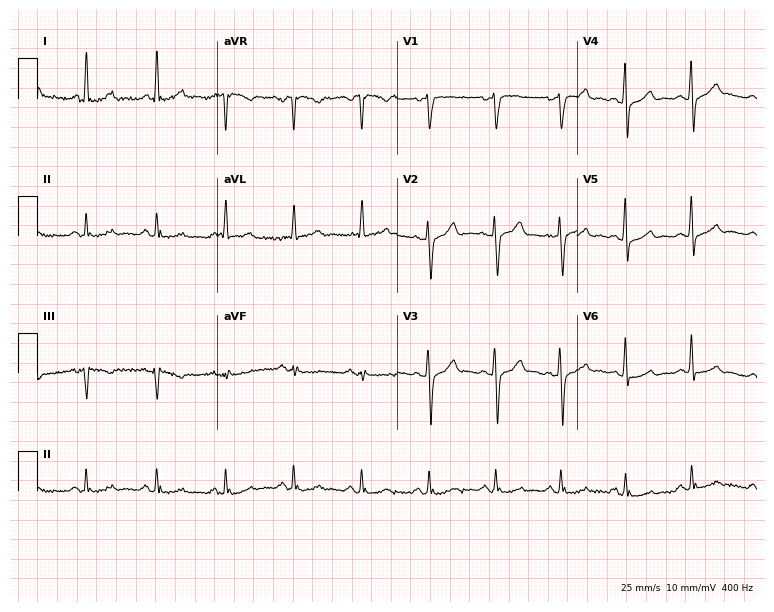
ECG (7.3-second recording at 400 Hz) — a man, 57 years old. Labelled as a normal ECG.